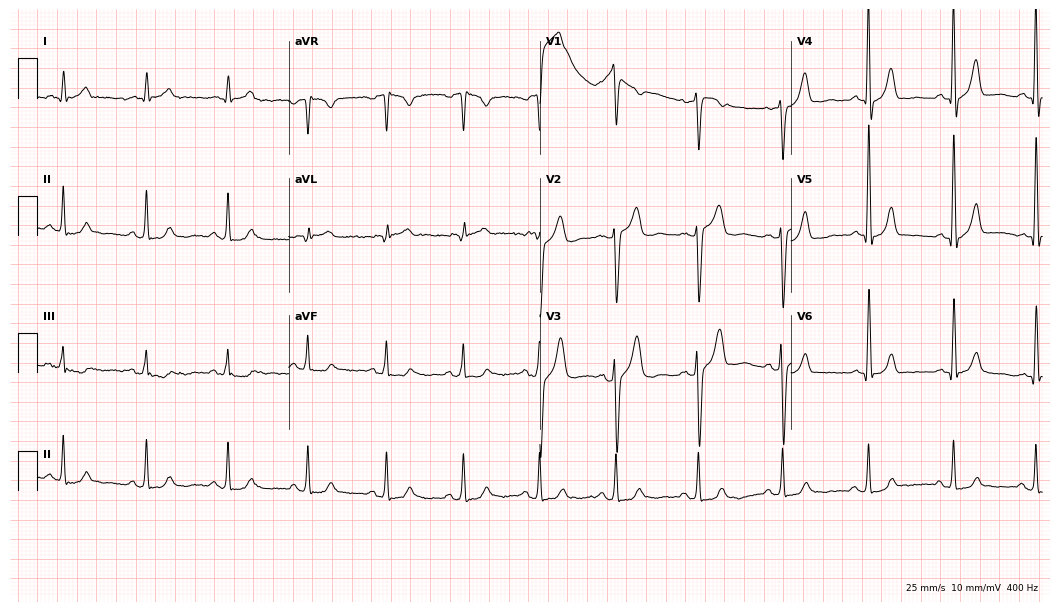
Standard 12-lead ECG recorded from a 58-year-old man. None of these six findings is recorded: first-degree AV block, right bundle branch block (RBBB), left bundle branch block (LBBB), sinus bradycardia, atrial fibrillation (AF), sinus tachycardia. Only these six findings were labelled.